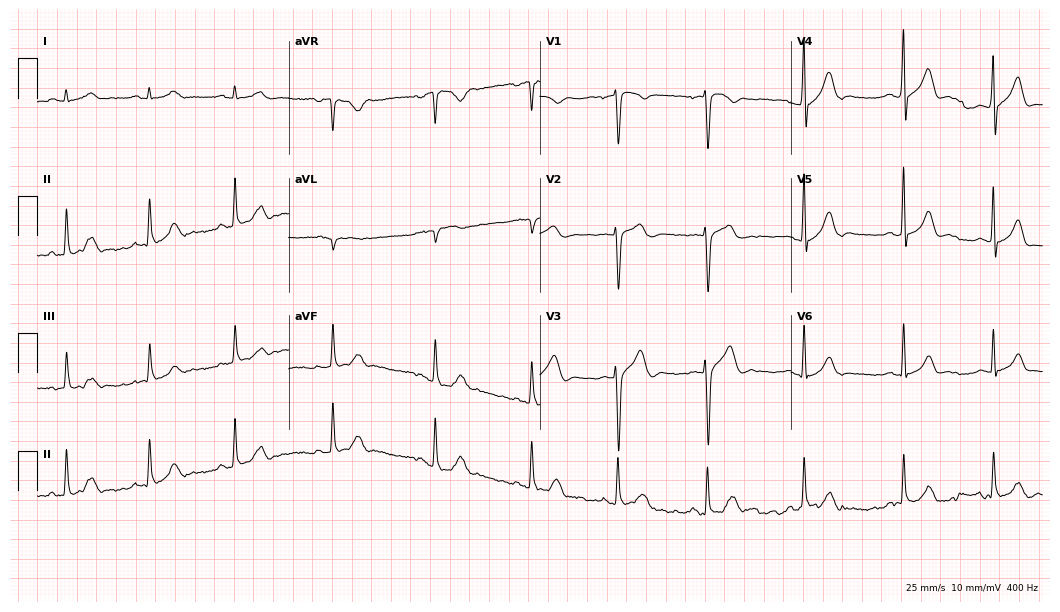
12-lead ECG from a man, 22 years old (10.2-second recording at 400 Hz). Recorded interpretation: within normal limits.